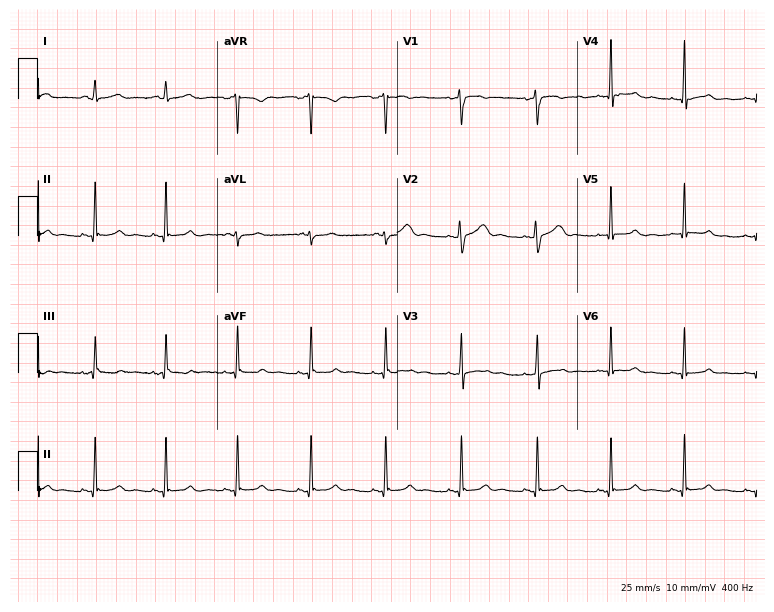
Resting 12-lead electrocardiogram. Patient: a 26-year-old woman. Read as a normal ECG.